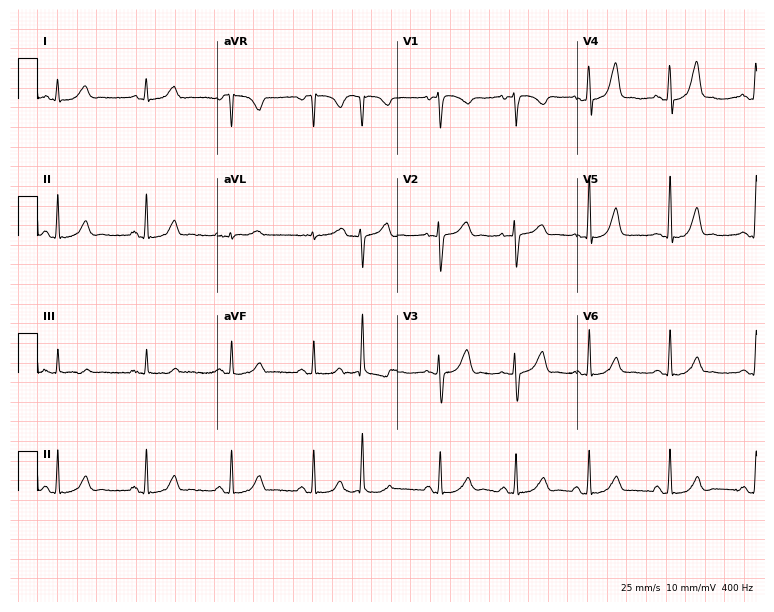
ECG — a 29-year-old female. Screened for six findings — first-degree AV block, right bundle branch block (RBBB), left bundle branch block (LBBB), sinus bradycardia, atrial fibrillation (AF), sinus tachycardia — none is recorded.